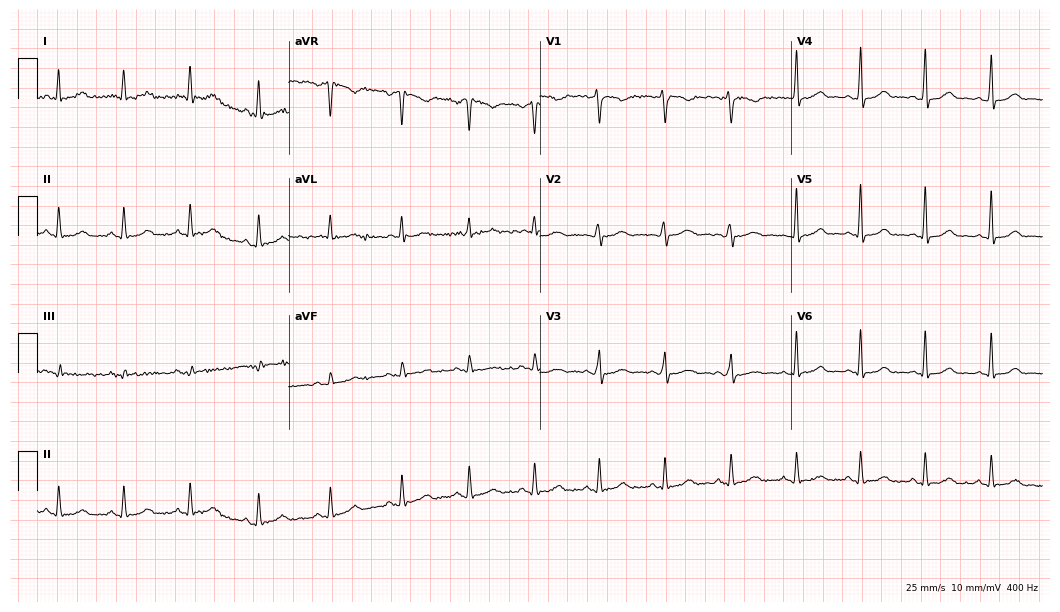
12-lead ECG from a 43-year-old female. Labelled as a normal ECG.